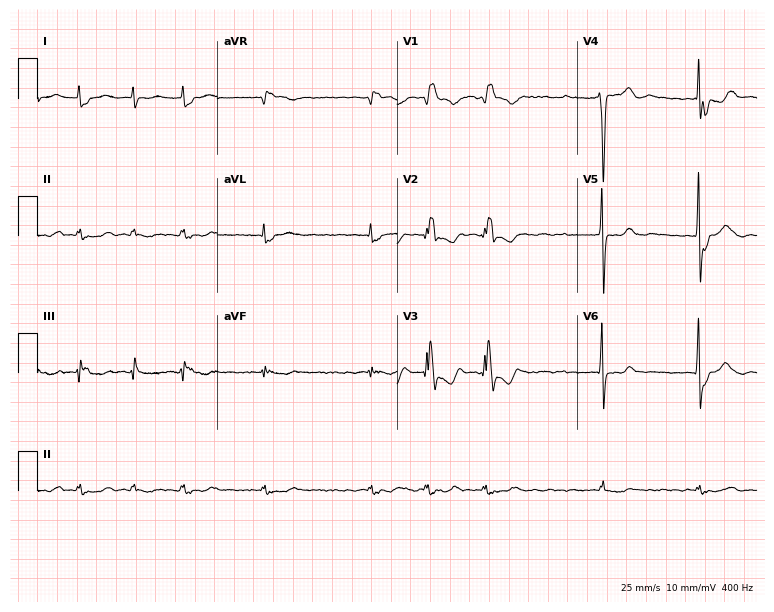
Electrocardiogram (7.3-second recording at 400 Hz), a male patient, 78 years old. Interpretation includes atrial fibrillation (AF).